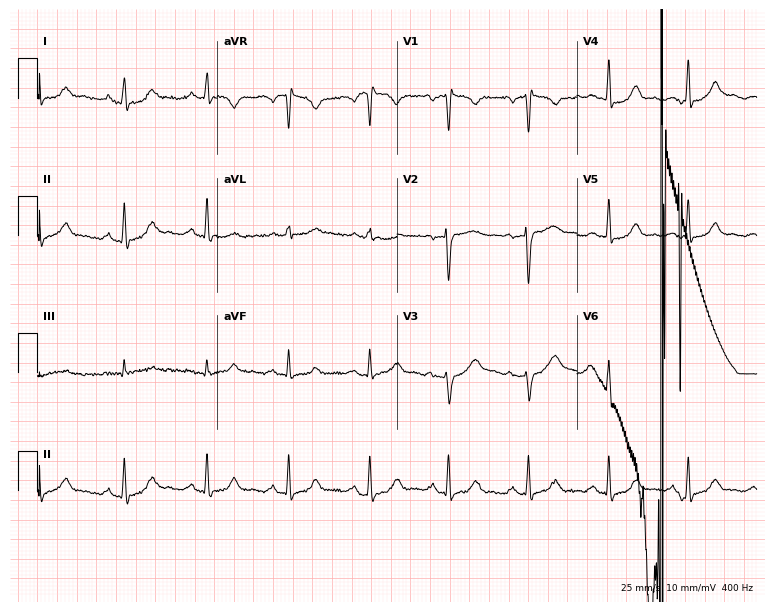
Standard 12-lead ECG recorded from a female, 39 years old (7.3-second recording at 400 Hz). None of these six findings is recorded: first-degree AV block, right bundle branch block (RBBB), left bundle branch block (LBBB), sinus bradycardia, atrial fibrillation (AF), sinus tachycardia.